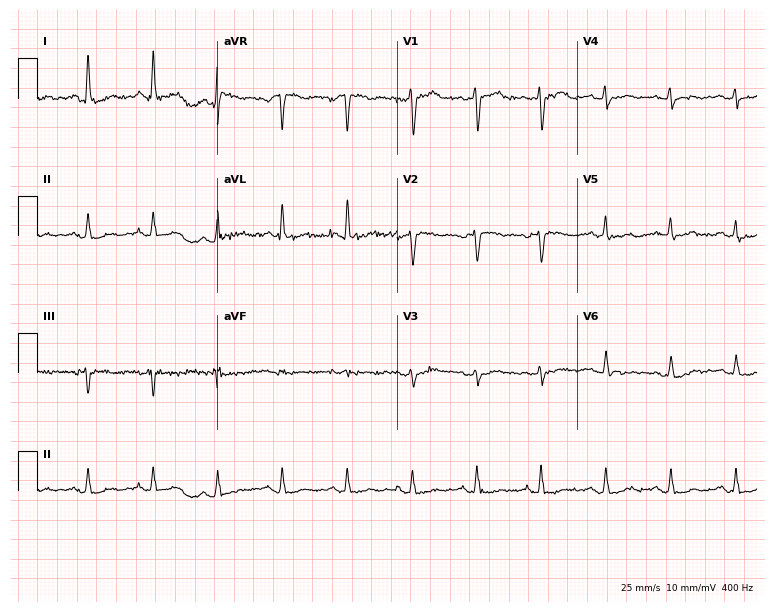
12-lead ECG from a female, 67 years old. No first-degree AV block, right bundle branch block, left bundle branch block, sinus bradycardia, atrial fibrillation or sinus tachycardia recorded for this tracing. Findings outside these six are not listed.